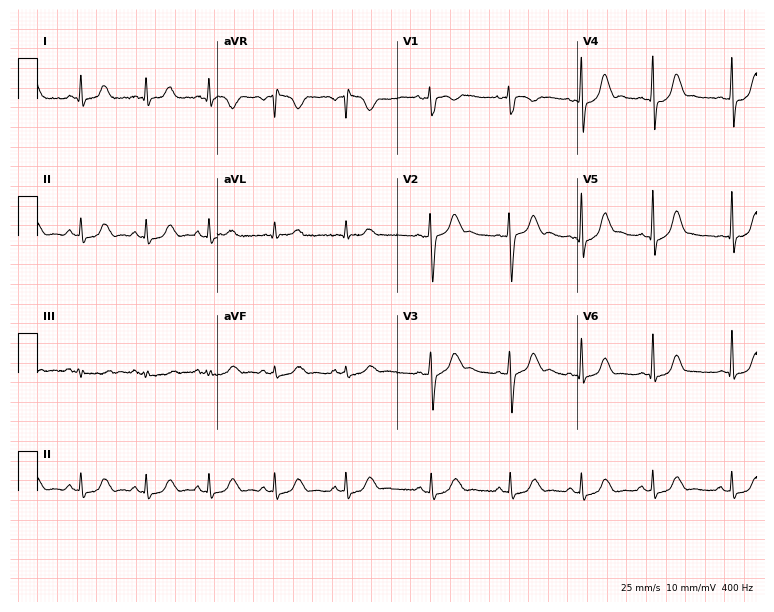
12-lead ECG (7.3-second recording at 400 Hz) from a female patient, 31 years old. Labelled as a normal ECG.